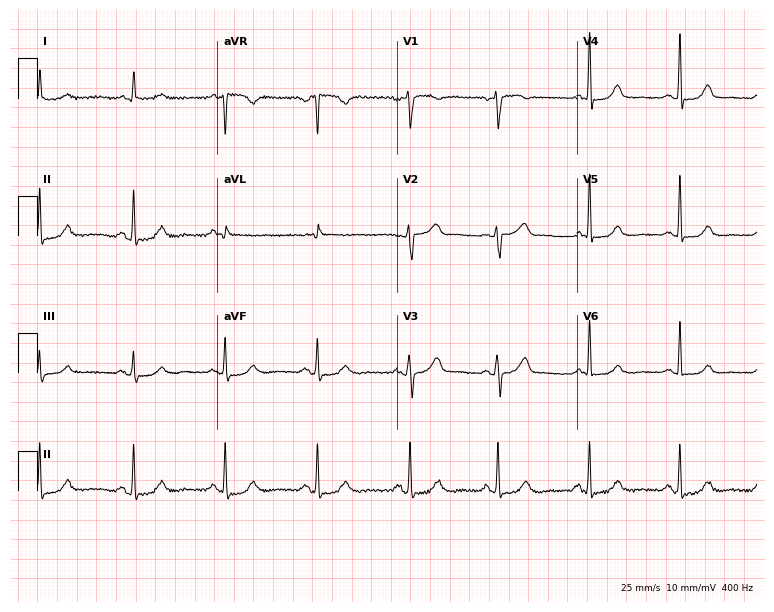
ECG (7.3-second recording at 400 Hz) — a 71-year-old woman. Labelled as a normal ECG.